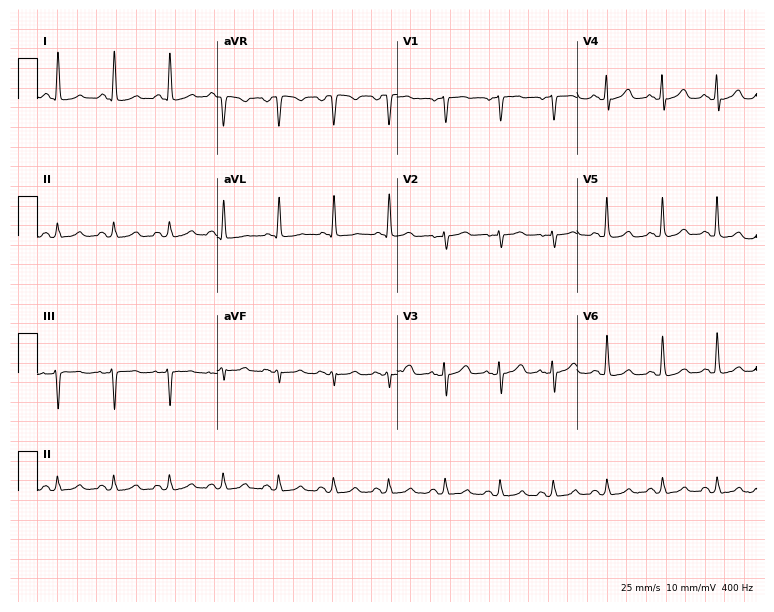
12-lead ECG (7.3-second recording at 400 Hz) from a 66-year-old female patient. Screened for six findings — first-degree AV block, right bundle branch block, left bundle branch block, sinus bradycardia, atrial fibrillation, sinus tachycardia — none is recorded.